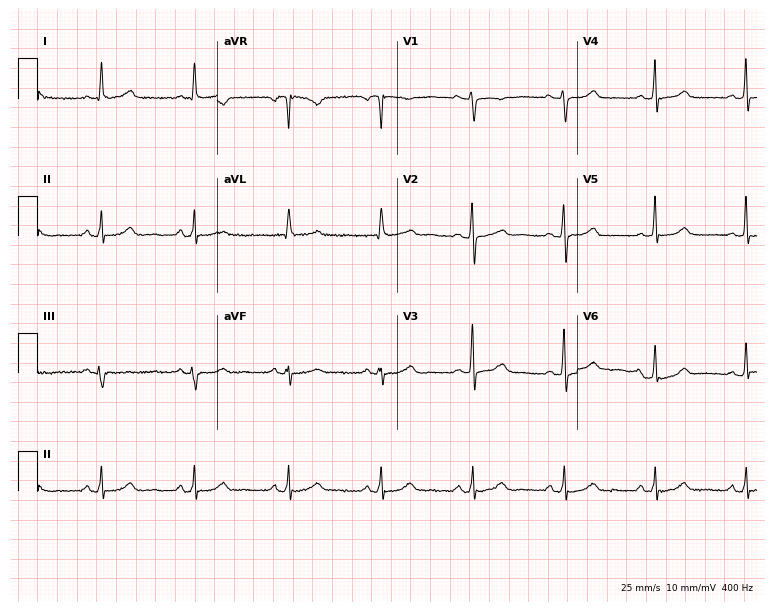
ECG (7.3-second recording at 400 Hz) — a 62-year-old female patient. Labelled as a normal ECG.